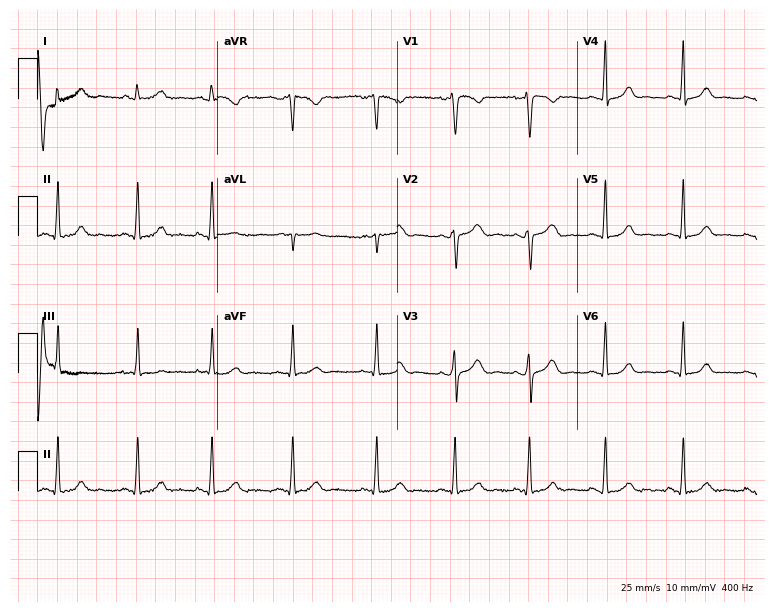
Standard 12-lead ECG recorded from a 22-year-old female. Read as a normal ECG.